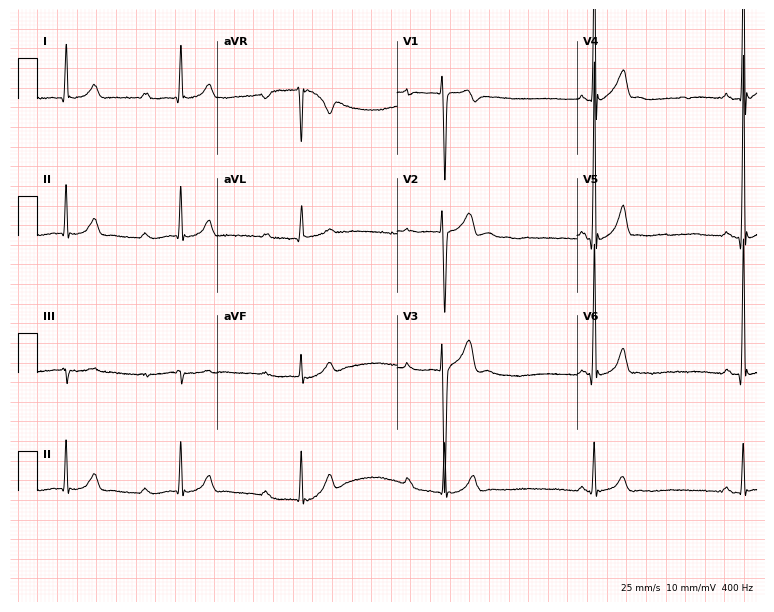
12-lead ECG from a male, 19 years old. Screened for six findings — first-degree AV block, right bundle branch block, left bundle branch block, sinus bradycardia, atrial fibrillation, sinus tachycardia — none is recorded.